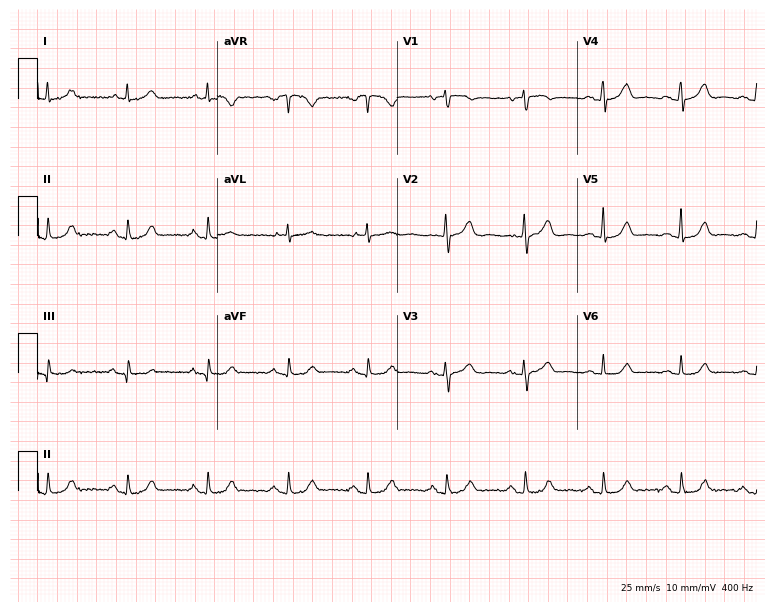
12-lead ECG from an 82-year-old woman. No first-degree AV block, right bundle branch block, left bundle branch block, sinus bradycardia, atrial fibrillation or sinus tachycardia recorded for this tracing.